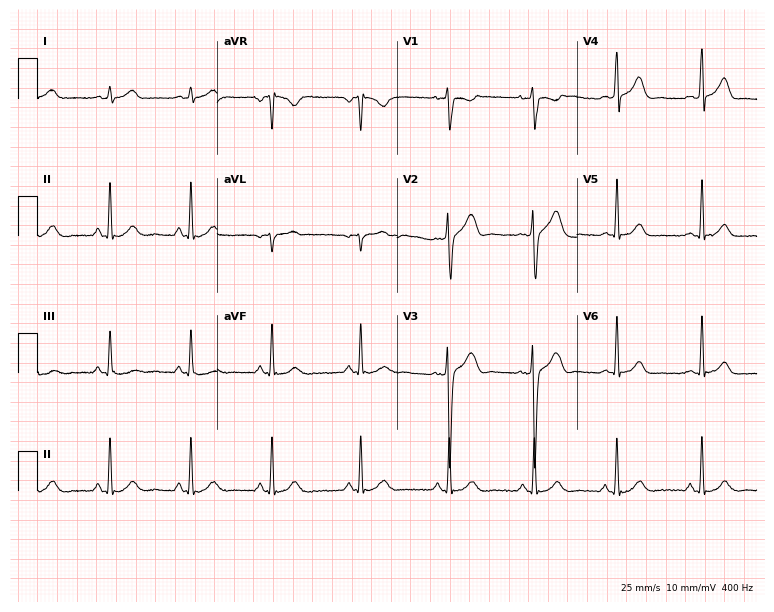
Standard 12-lead ECG recorded from a 22-year-old man (7.3-second recording at 400 Hz). Read as a normal ECG.